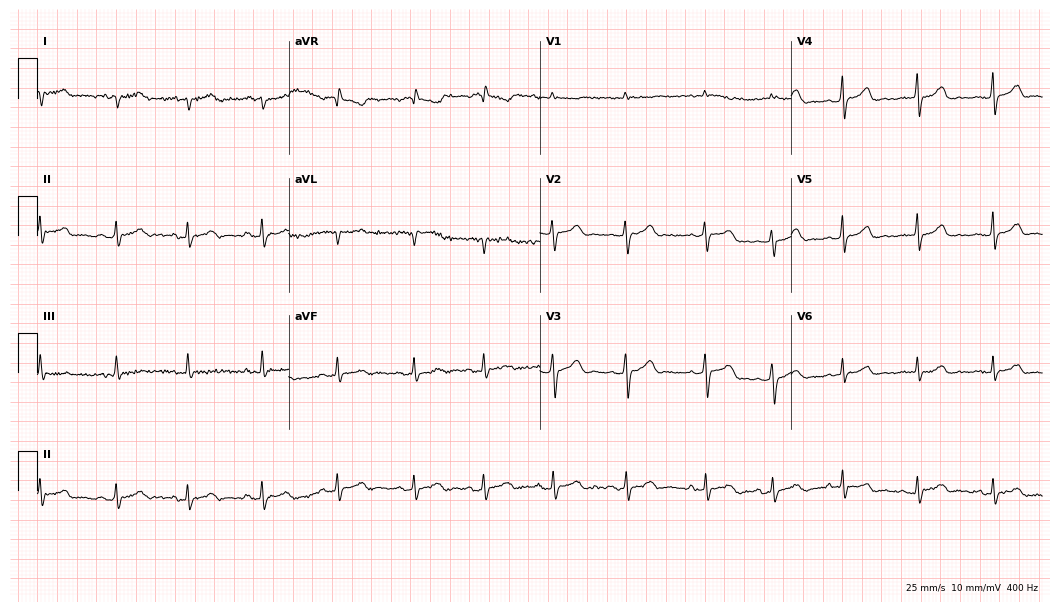
12-lead ECG from a female, 18 years old (10.2-second recording at 400 Hz). No first-degree AV block, right bundle branch block, left bundle branch block, sinus bradycardia, atrial fibrillation or sinus tachycardia recorded for this tracing. Findings outside these six are not listed.